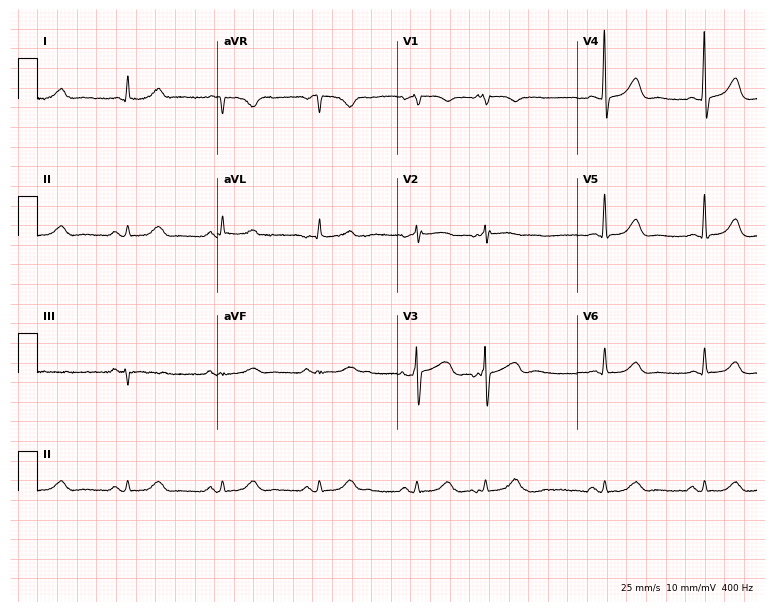
Standard 12-lead ECG recorded from a female, 84 years old (7.3-second recording at 400 Hz). Read as a normal ECG.